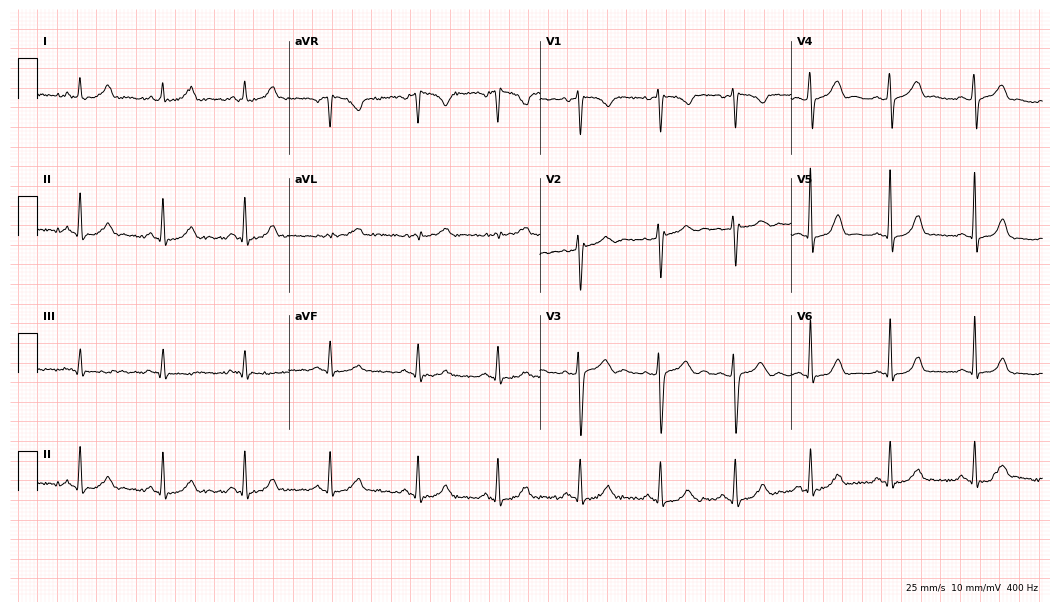
ECG — a 34-year-old woman. Labelled as a normal ECG.